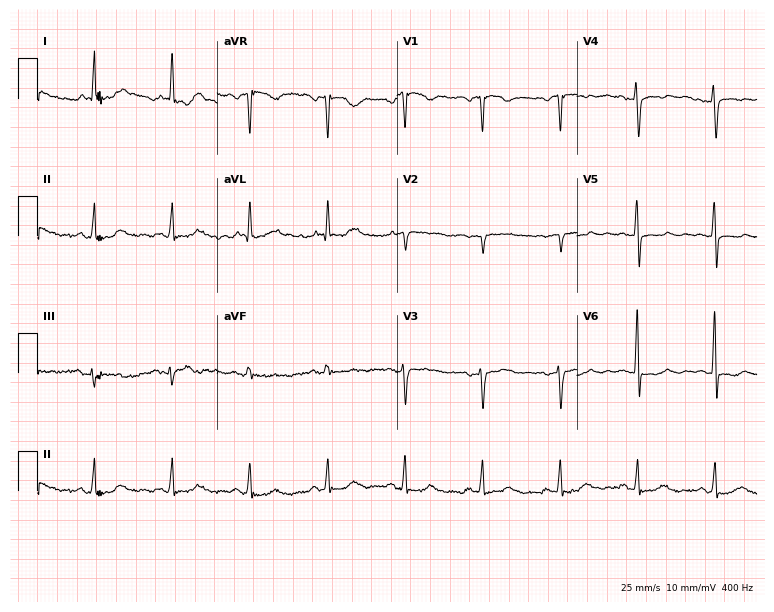
ECG — a 77-year-old female patient. Screened for six findings — first-degree AV block, right bundle branch block (RBBB), left bundle branch block (LBBB), sinus bradycardia, atrial fibrillation (AF), sinus tachycardia — none is recorded. Only these six findings were labelled.